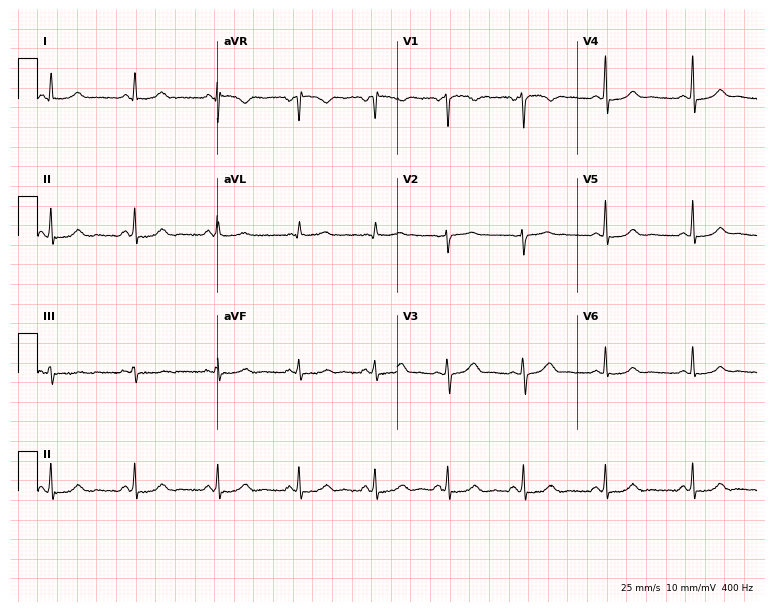
Standard 12-lead ECG recorded from a female patient, 30 years old (7.3-second recording at 400 Hz). Read as a normal ECG.